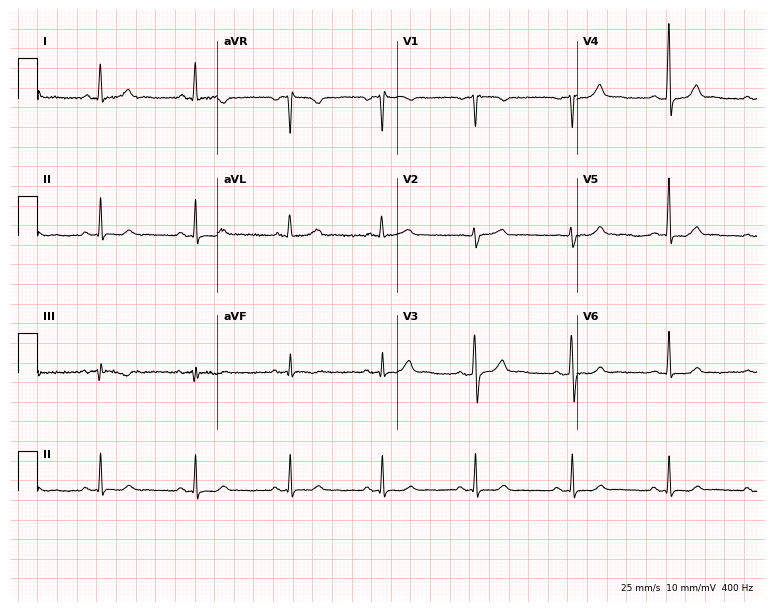
12-lead ECG (7.3-second recording at 400 Hz) from a female, 58 years old. Labelled as a normal ECG.